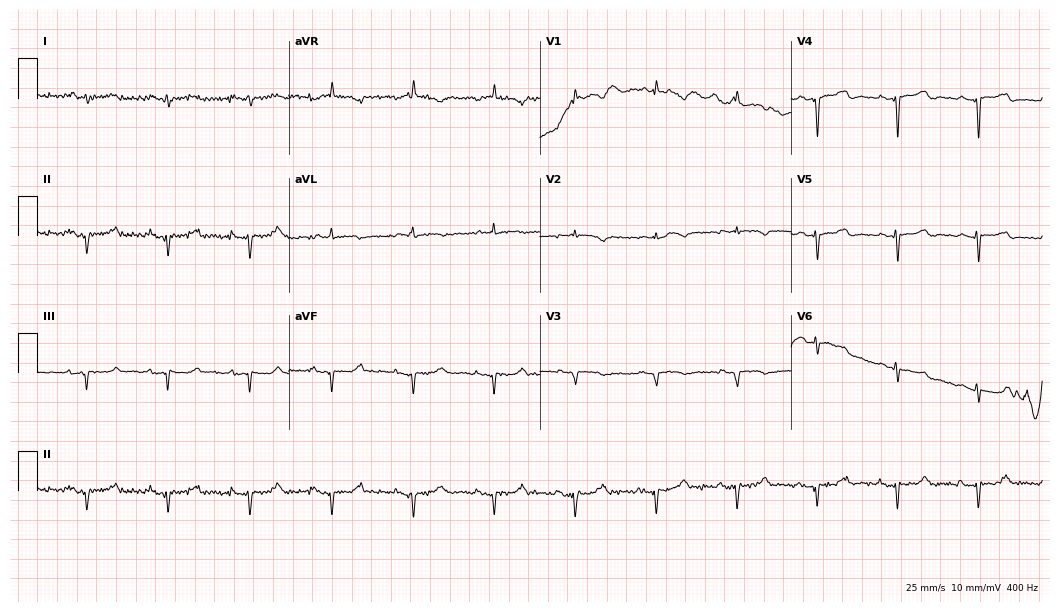
Electrocardiogram, a man, 70 years old. Of the six screened findings (first-degree AV block, right bundle branch block (RBBB), left bundle branch block (LBBB), sinus bradycardia, atrial fibrillation (AF), sinus tachycardia), none is recorded.